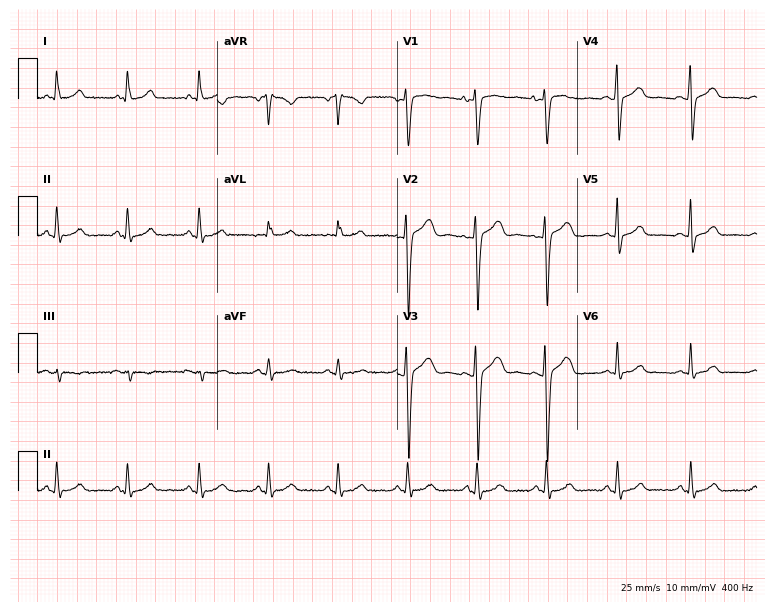
12-lead ECG (7.3-second recording at 400 Hz) from a female, 36 years old. Screened for six findings — first-degree AV block, right bundle branch block, left bundle branch block, sinus bradycardia, atrial fibrillation, sinus tachycardia — none is recorded.